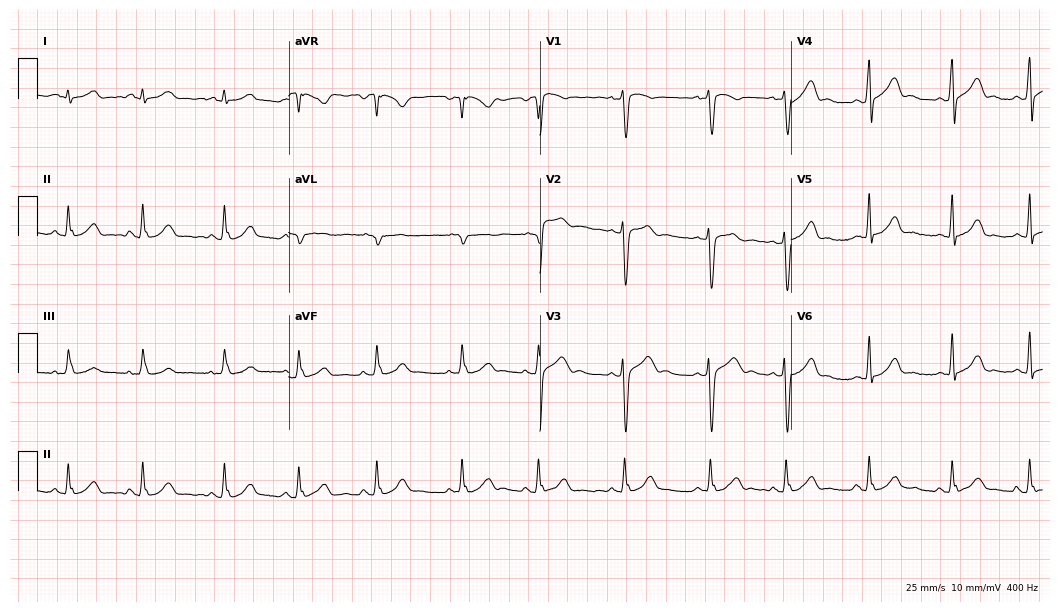
Standard 12-lead ECG recorded from a woman, 32 years old. None of these six findings is recorded: first-degree AV block, right bundle branch block (RBBB), left bundle branch block (LBBB), sinus bradycardia, atrial fibrillation (AF), sinus tachycardia. Other findings, if any, are not listed.